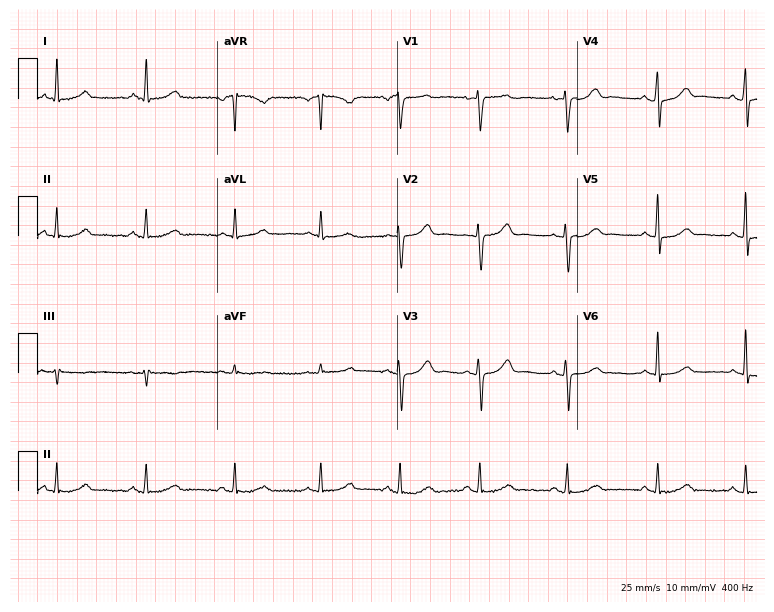
Electrocardiogram, a 62-year-old female patient. Overall reading on record: normal ECG.